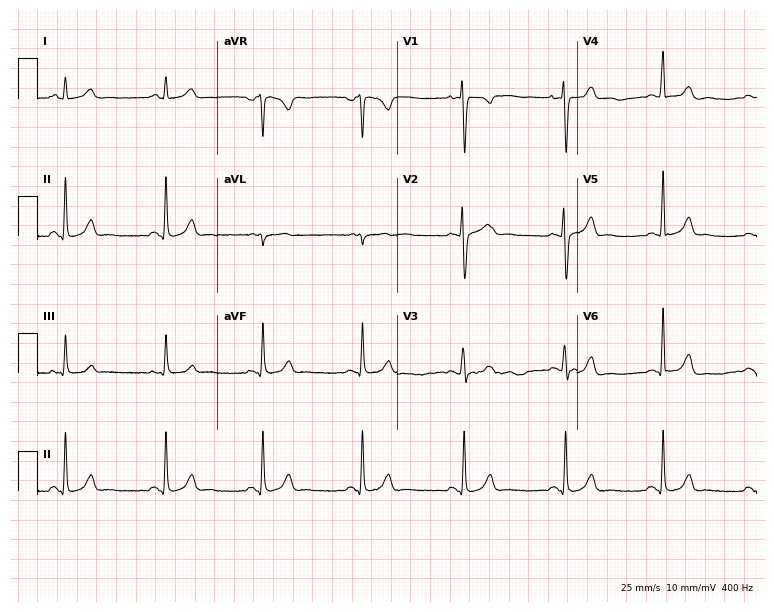
12-lead ECG from a 25-year-old female (7.3-second recording at 400 Hz). Recorded interpretation: within normal limits.